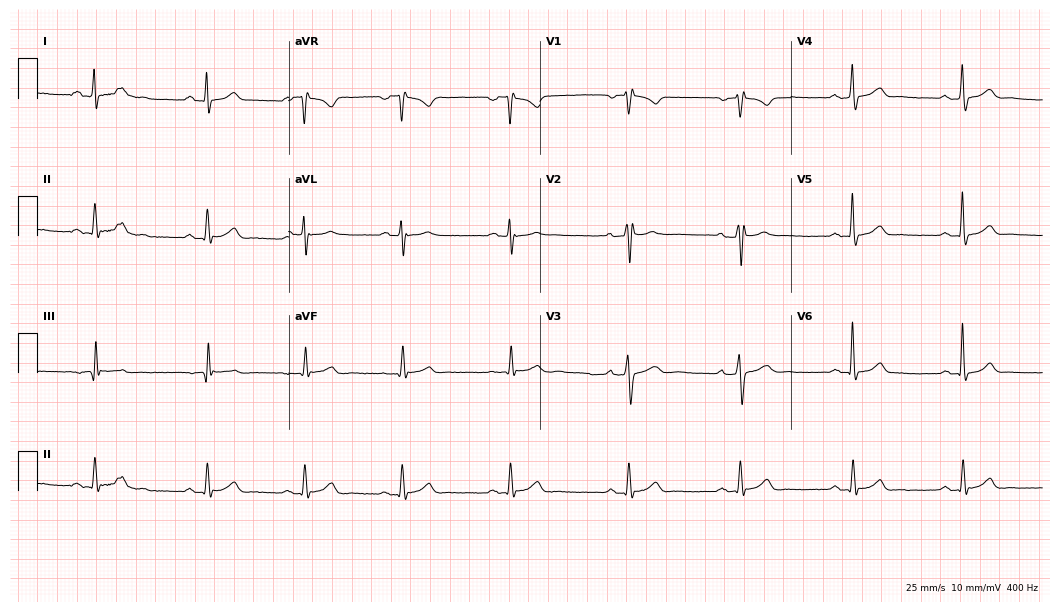
12-lead ECG from a 39-year-old male. Recorded interpretation: within normal limits.